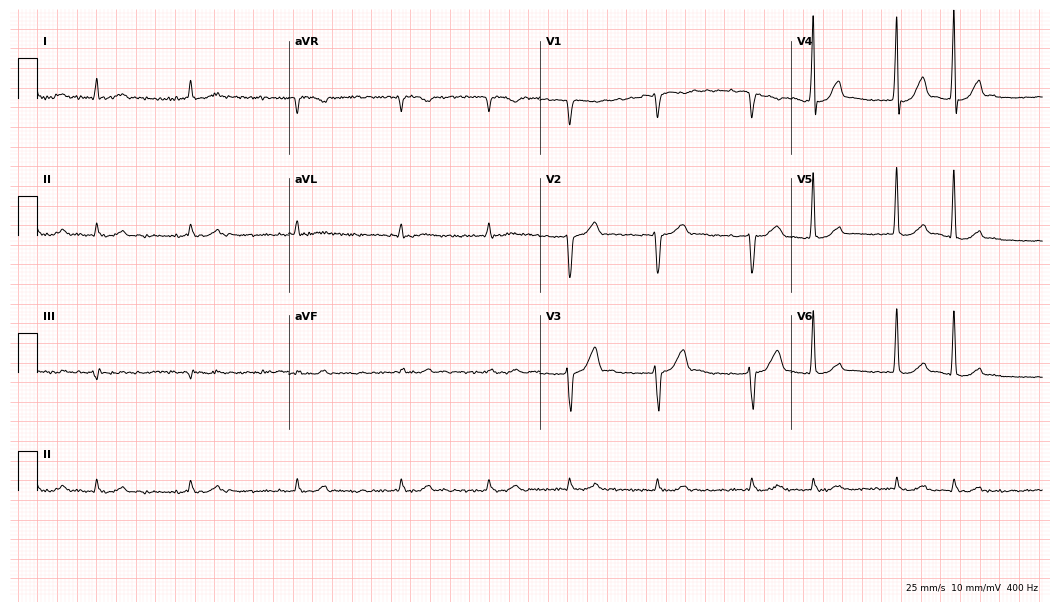
Electrocardiogram (10.2-second recording at 400 Hz), a 73-year-old male patient. Interpretation includes atrial fibrillation.